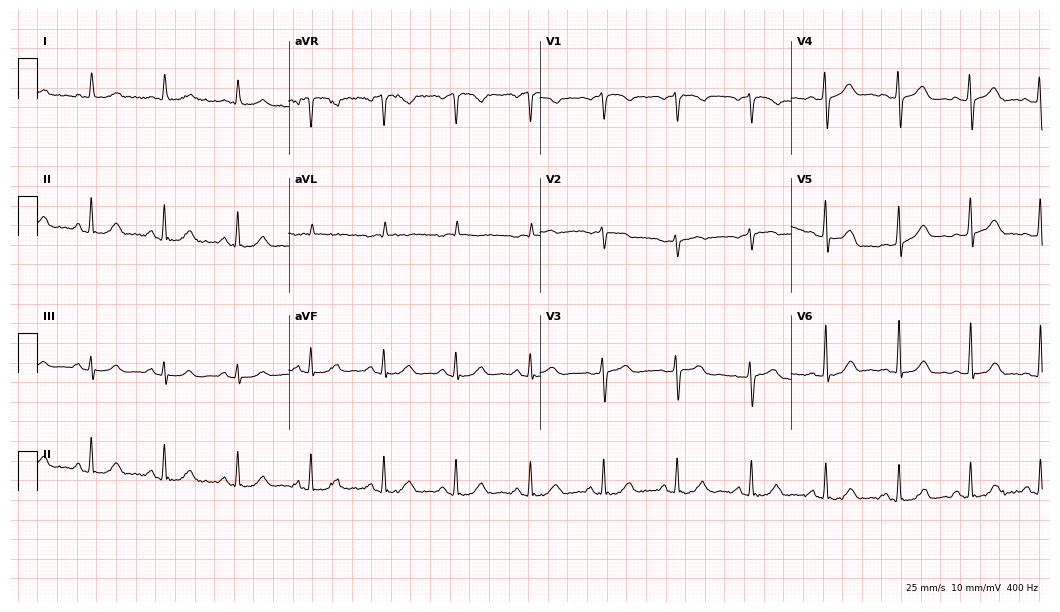
12-lead ECG from a female patient, 69 years old. Recorded interpretation: within normal limits.